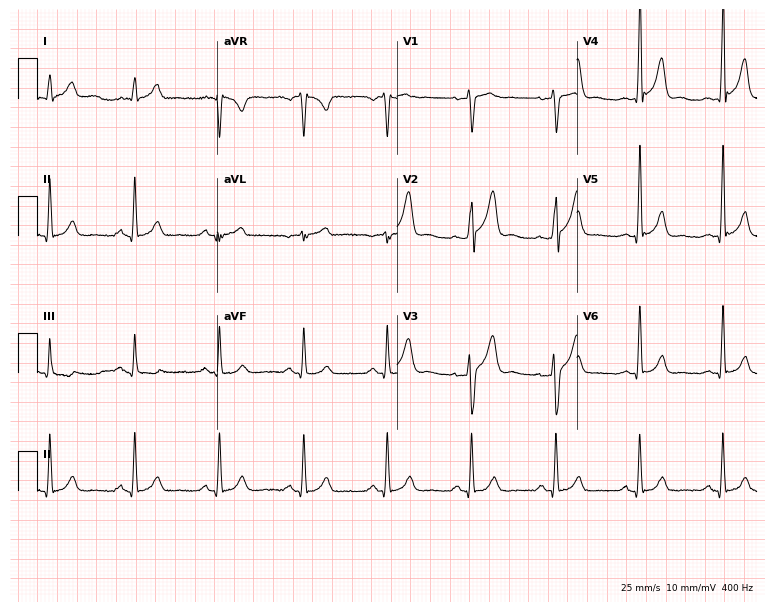
Electrocardiogram (7.3-second recording at 400 Hz), a 36-year-old man. Of the six screened findings (first-degree AV block, right bundle branch block (RBBB), left bundle branch block (LBBB), sinus bradycardia, atrial fibrillation (AF), sinus tachycardia), none is recorded.